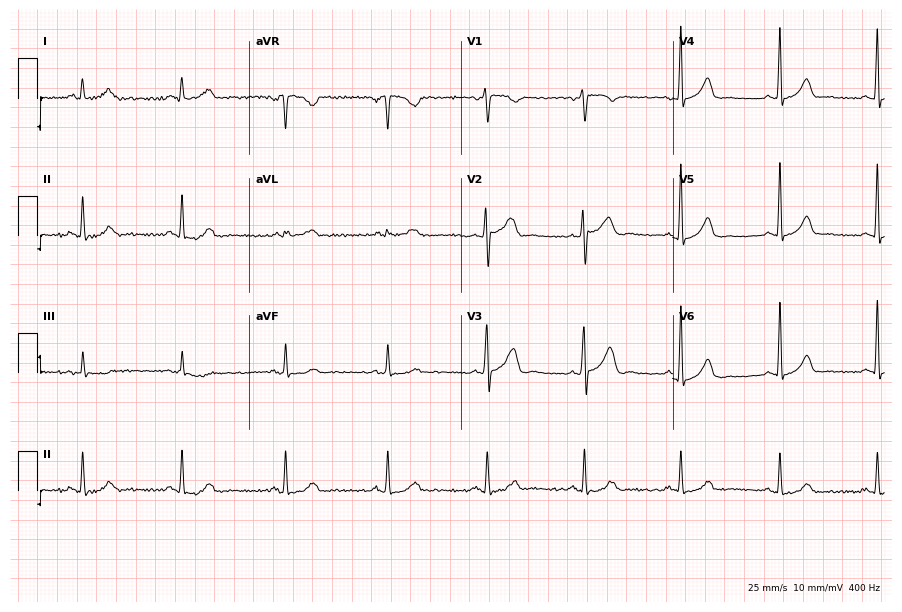
12-lead ECG (8.6-second recording at 400 Hz) from a 37-year-old man. Labelled as a normal ECG.